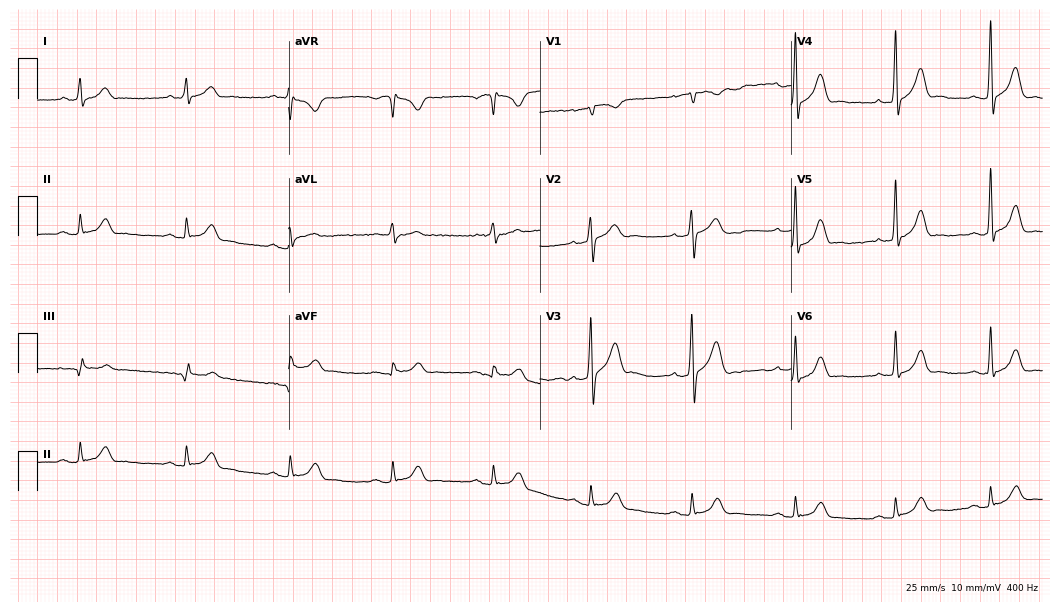
12-lead ECG (10.2-second recording at 400 Hz) from a 35-year-old male patient. Labelled as a normal ECG.